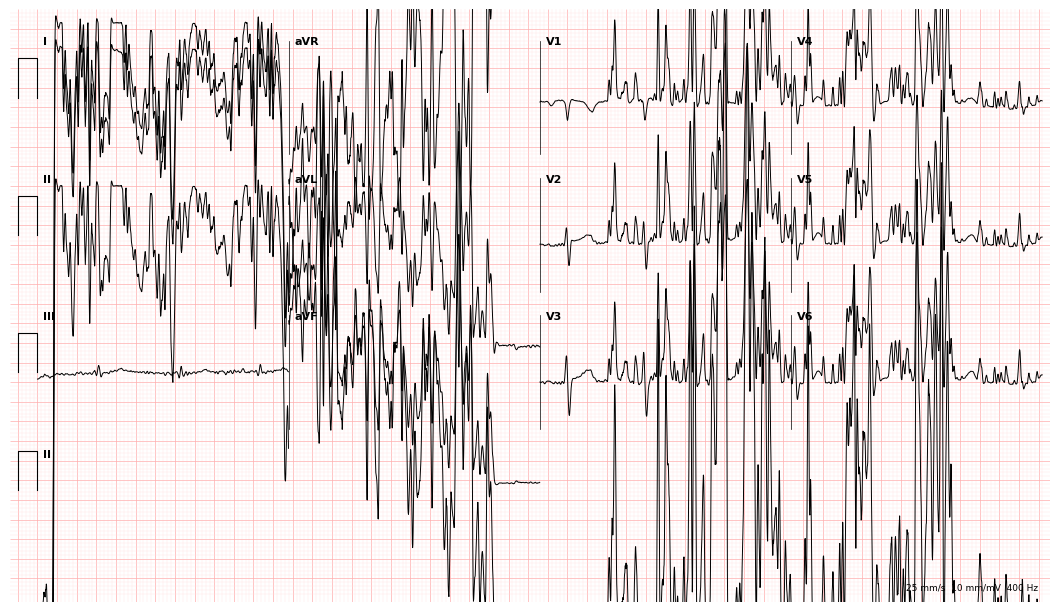
12-lead ECG from a 20-year-old man (10.2-second recording at 400 Hz). No first-degree AV block, right bundle branch block, left bundle branch block, sinus bradycardia, atrial fibrillation or sinus tachycardia recorded for this tracing. Findings outside these six are not listed.